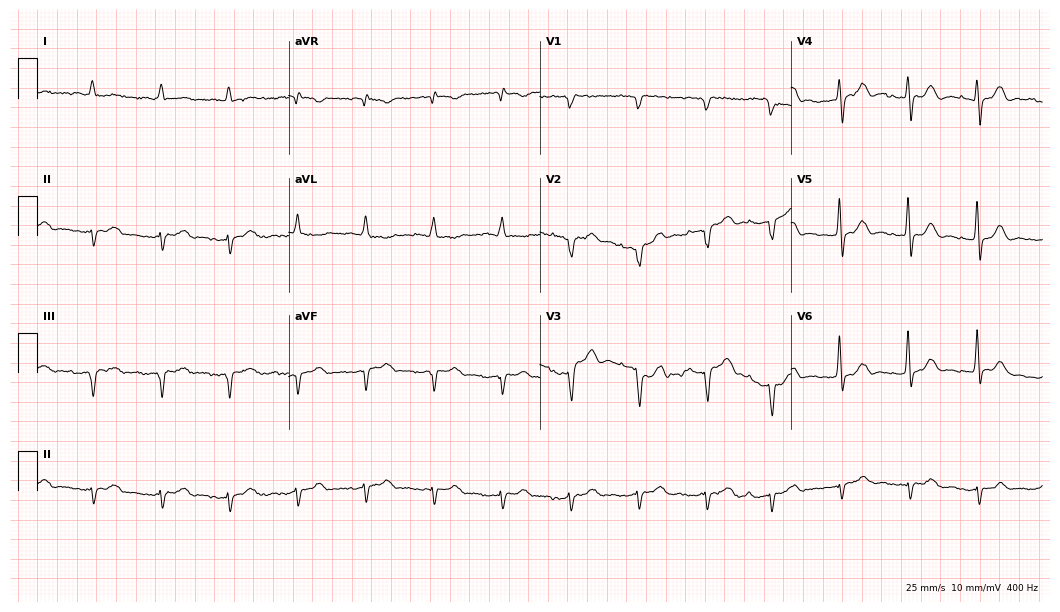
Electrocardiogram (10.2-second recording at 400 Hz), an 83-year-old man. Of the six screened findings (first-degree AV block, right bundle branch block, left bundle branch block, sinus bradycardia, atrial fibrillation, sinus tachycardia), none is recorded.